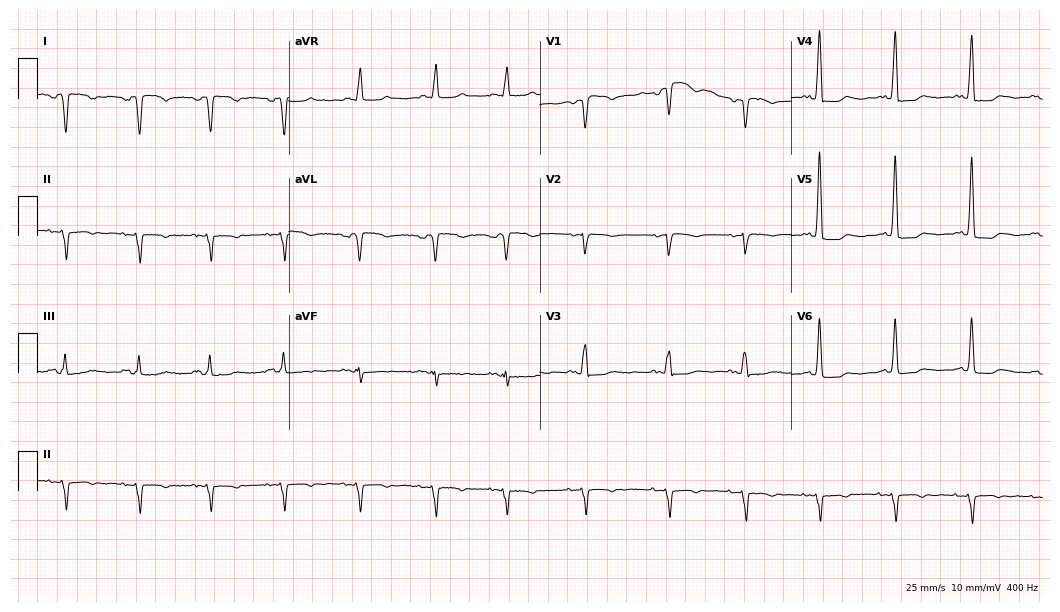
Standard 12-lead ECG recorded from a female, 79 years old (10.2-second recording at 400 Hz). None of these six findings is recorded: first-degree AV block, right bundle branch block, left bundle branch block, sinus bradycardia, atrial fibrillation, sinus tachycardia. Only these six findings were labelled.